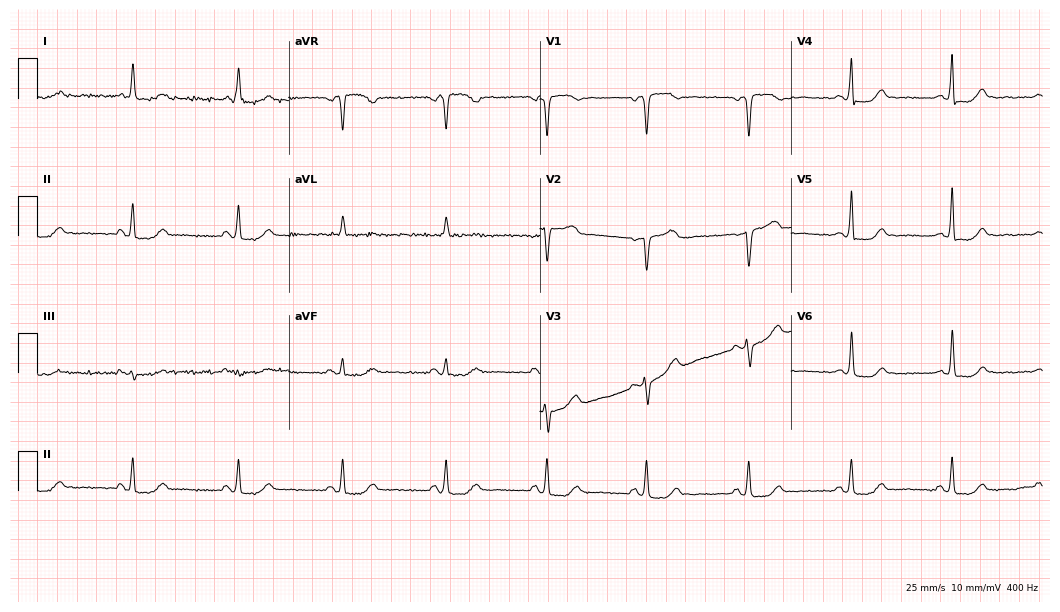
12-lead ECG (10.2-second recording at 400 Hz) from a female, 70 years old. Screened for six findings — first-degree AV block, right bundle branch block, left bundle branch block, sinus bradycardia, atrial fibrillation, sinus tachycardia — none is recorded.